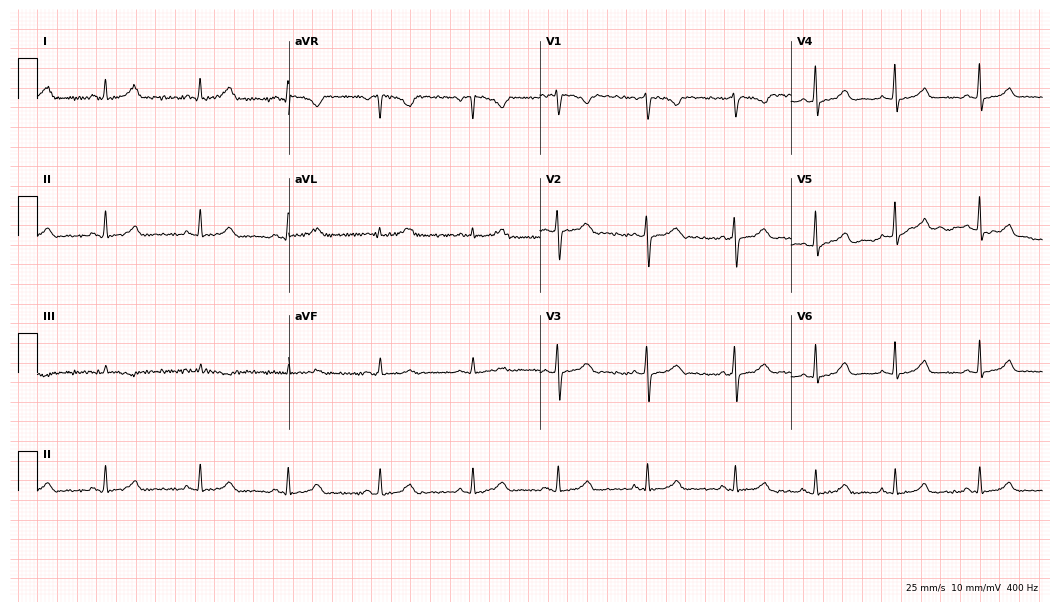
ECG (10.2-second recording at 400 Hz) — a woman, 29 years old. Labelled as a normal ECG.